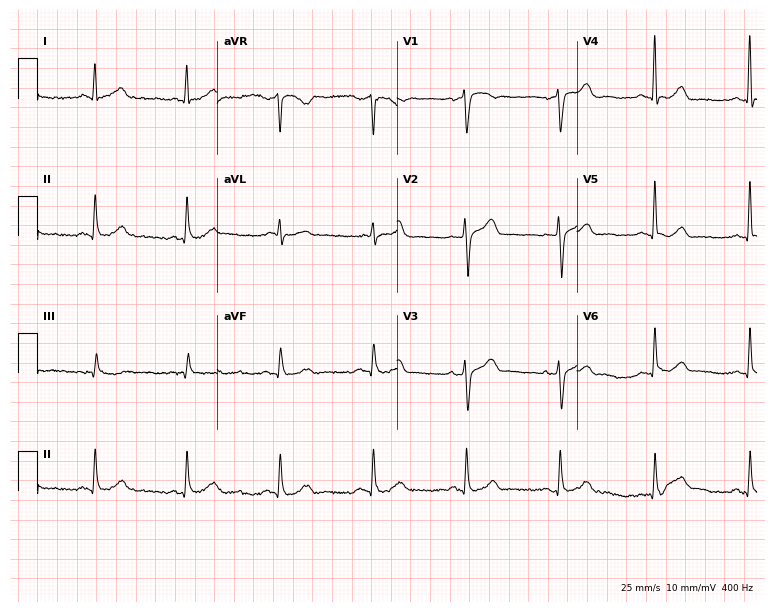
12-lead ECG from a male, 71 years old (7.3-second recording at 400 Hz). Recorded interpretation: within normal limits.